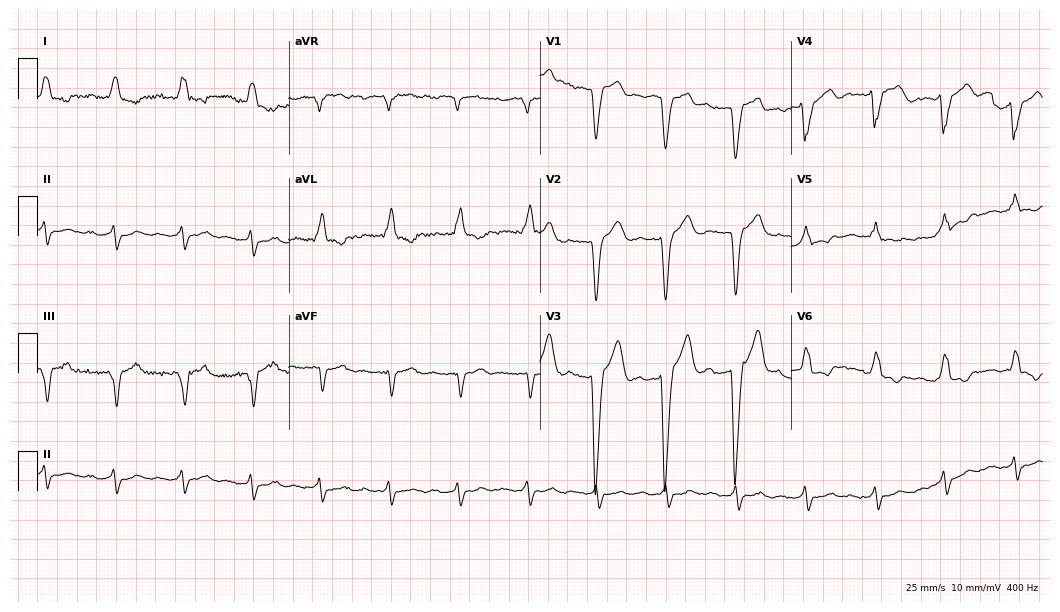
ECG — a 69-year-old male. Findings include first-degree AV block, left bundle branch block.